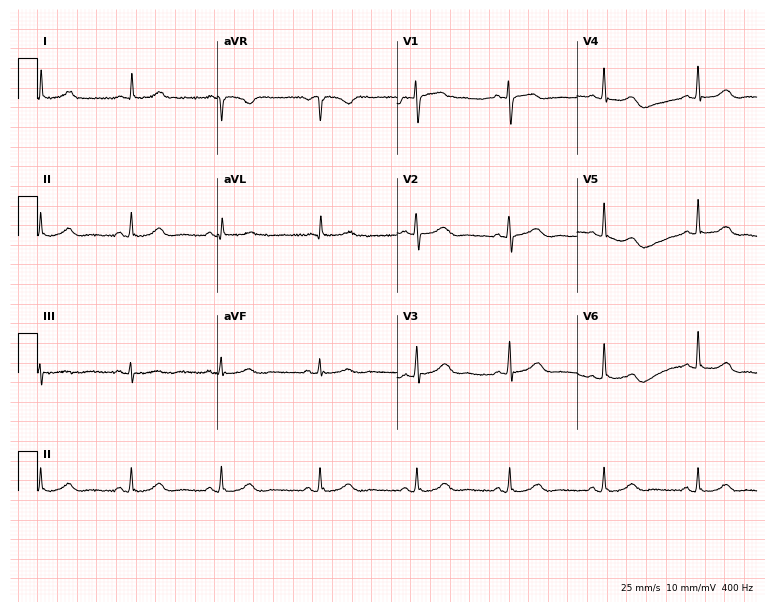
12-lead ECG from a 65-year-old woman. Recorded interpretation: within normal limits.